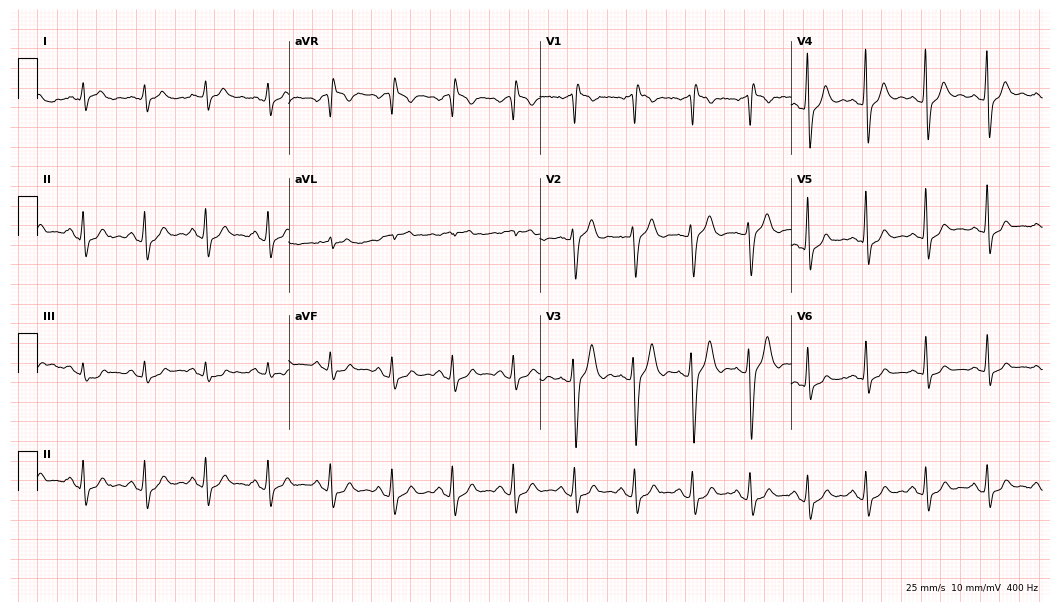
Resting 12-lead electrocardiogram. Patient: a male, 37 years old. None of these six findings is recorded: first-degree AV block, right bundle branch block, left bundle branch block, sinus bradycardia, atrial fibrillation, sinus tachycardia.